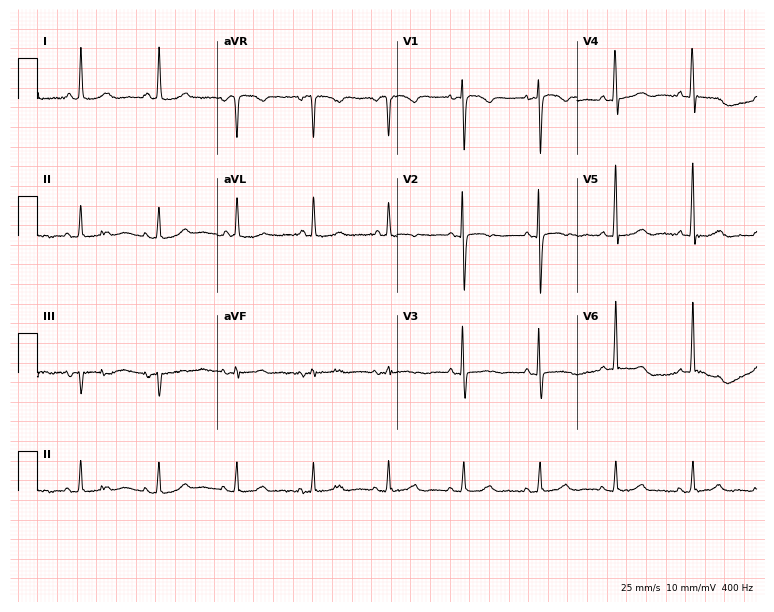
Resting 12-lead electrocardiogram (7.3-second recording at 400 Hz). Patient: an 85-year-old woman. Read as a normal ECG.